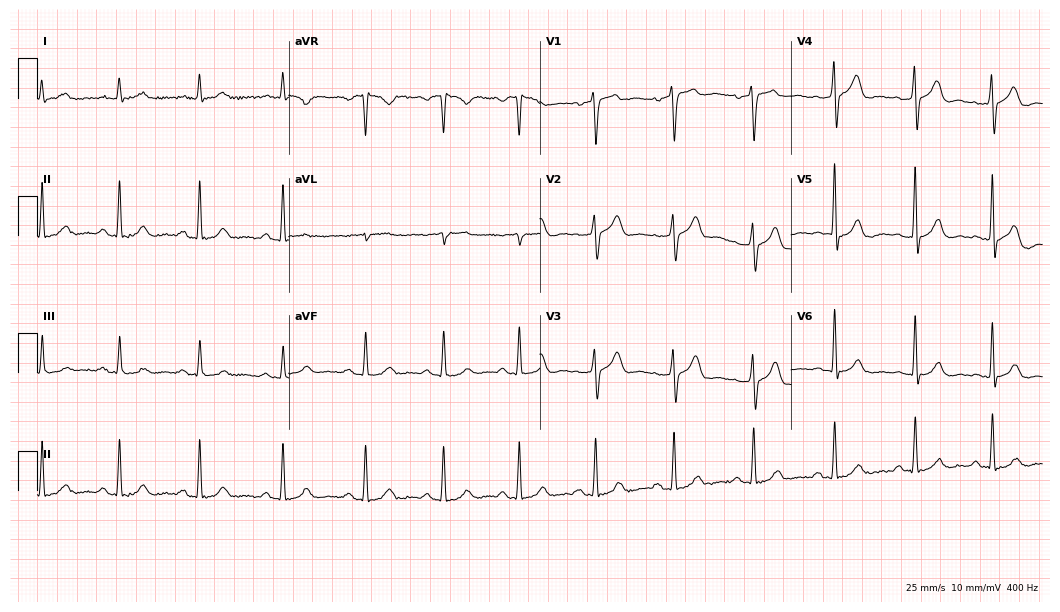
12-lead ECG from a 51-year-old male. Recorded interpretation: within normal limits.